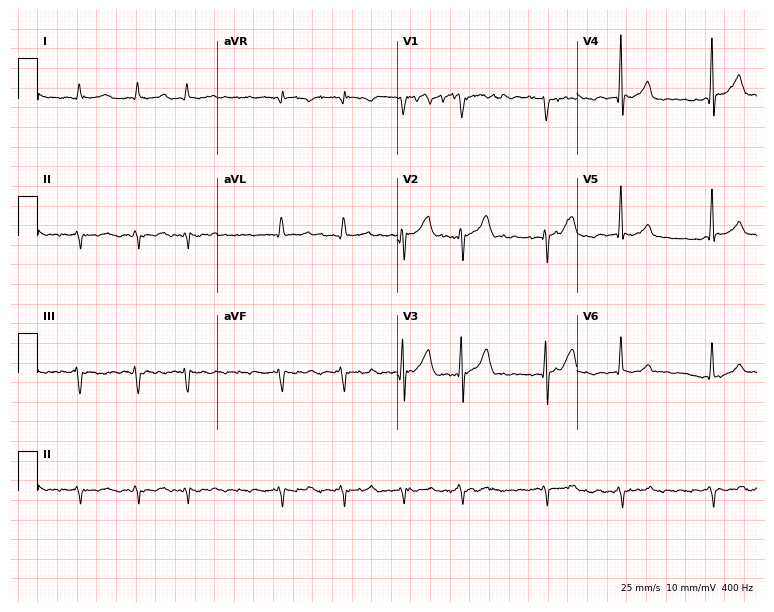
Resting 12-lead electrocardiogram. Patient: a 69-year-old male. The tracing shows atrial fibrillation.